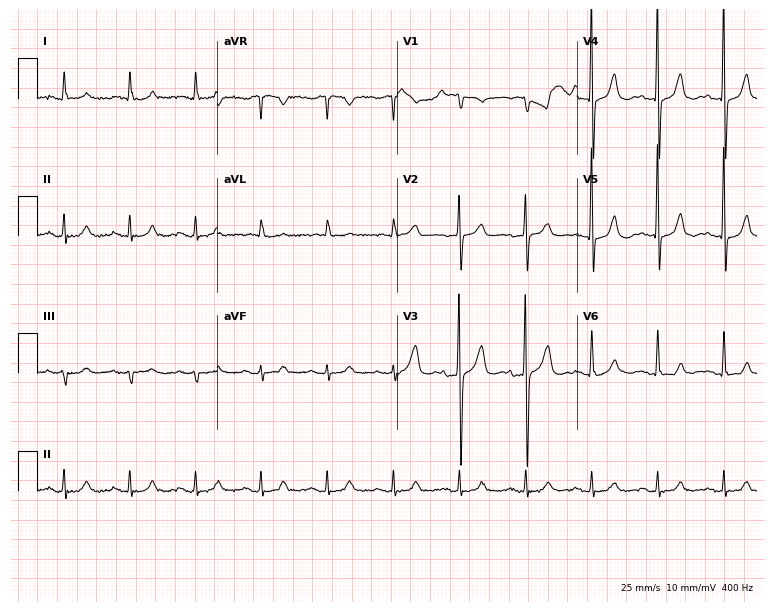
Standard 12-lead ECG recorded from a woman, 80 years old (7.3-second recording at 400 Hz). Read as a normal ECG.